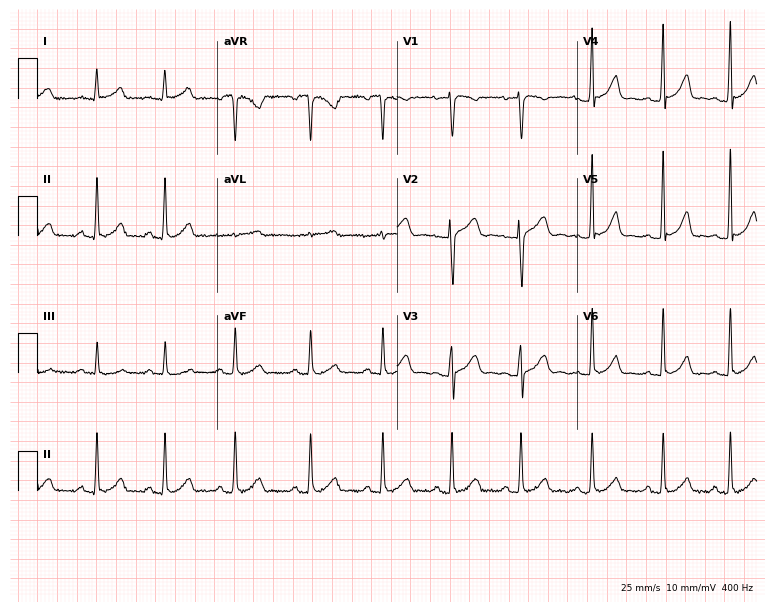
Electrocardiogram (7.3-second recording at 400 Hz), a 22-year-old woman. Overall reading on record: normal ECG.